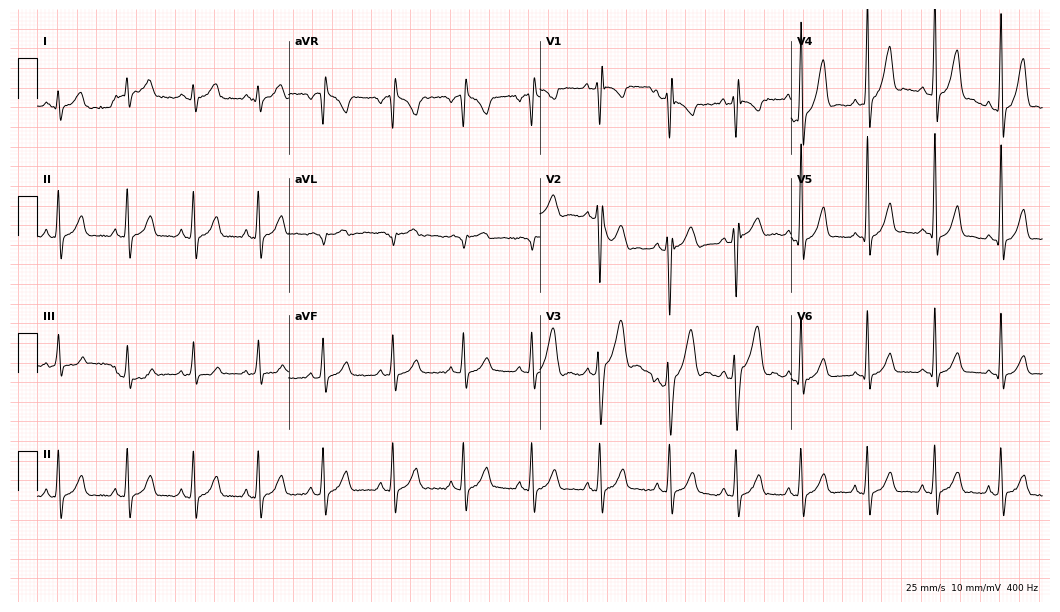
12-lead ECG (10.2-second recording at 400 Hz) from an 18-year-old male patient. Screened for six findings — first-degree AV block, right bundle branch block, left bundle branch block, sinus bradycardia, atrial fibrillation, sinus tachycardia — none is recorded.